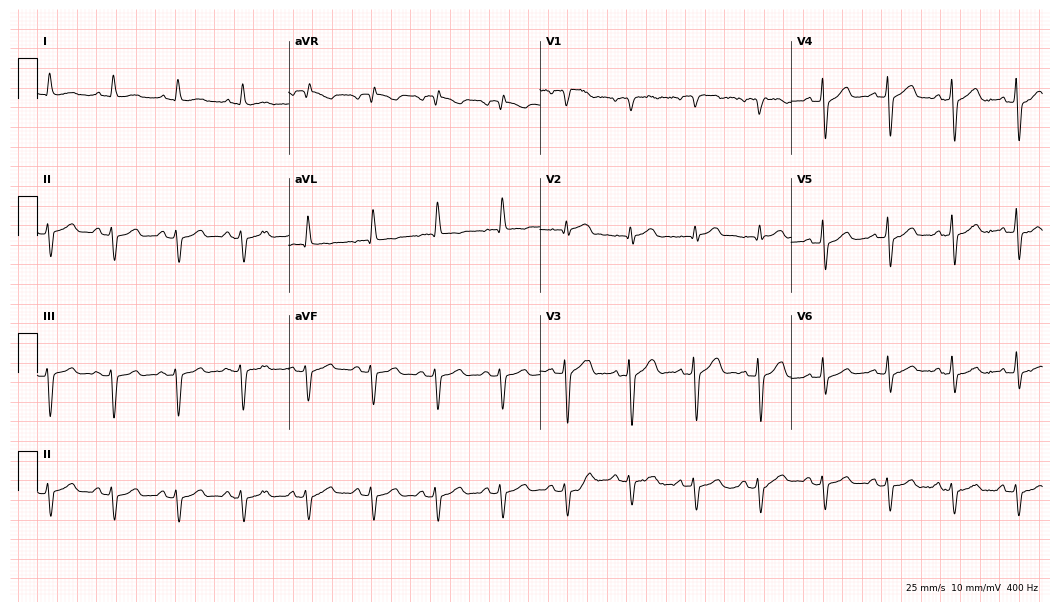
Resting 12-lead electrocardiogram (10.2-second recording at 400 Hz). Patient: an 80-year-old female. None of these six findings is recorded: first-degree AV block, right bundle branch block, left bundle branch block, sinus bradycardia, atrial fibrillation, sinus tachycardia.